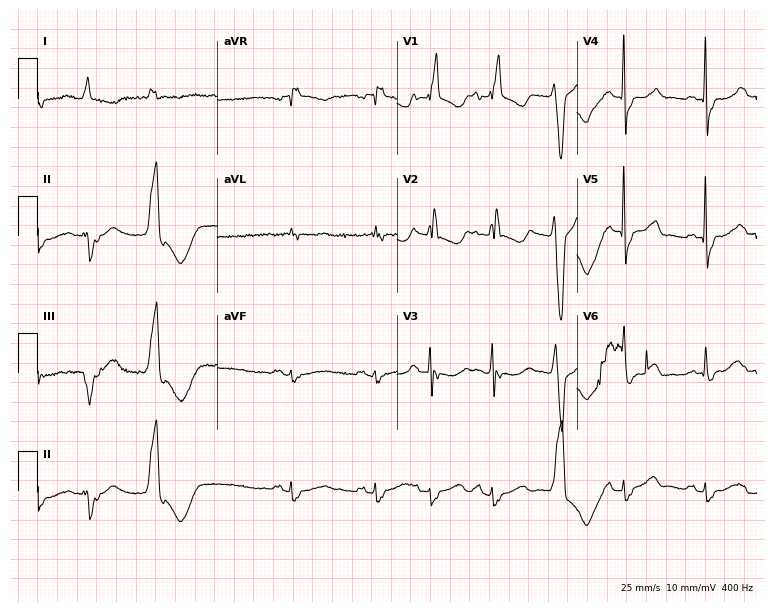
Resting 12-lead electrocardiogram (7.3-second recording at 400 Hz). Patient: a 73-year-old female. The tracing shows right bundle branch block.